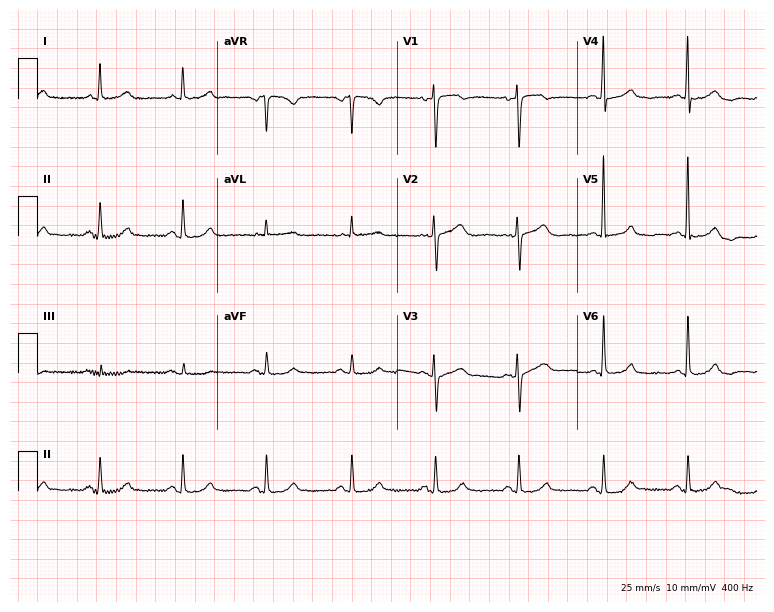
12-lead ECG from a 64-year-old female patient. Recorded interpretation: within normal limits.